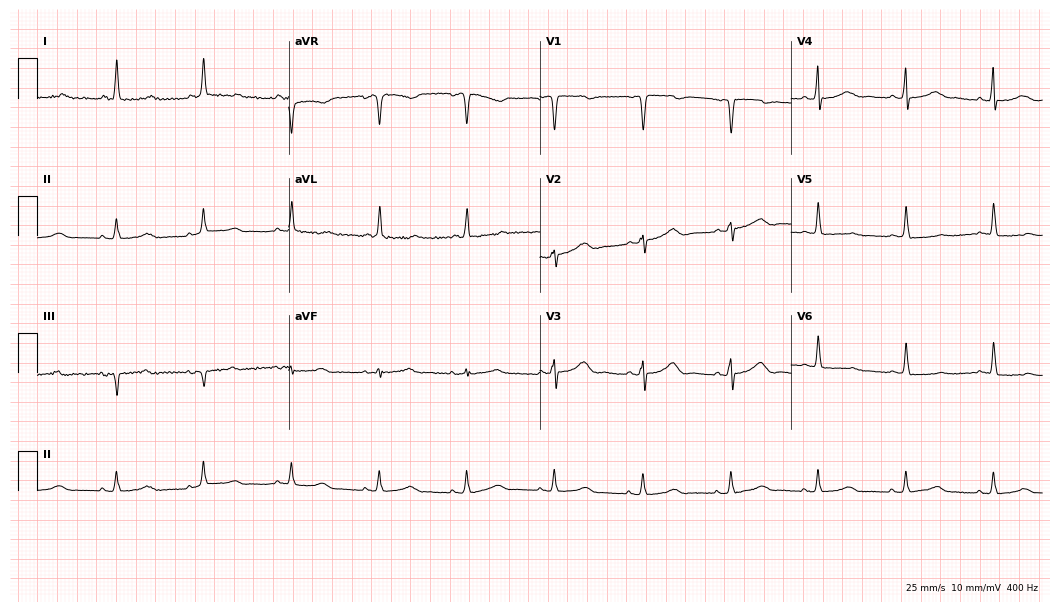
12-lead ECG from an 80-year-old woman. No first-degree AV block, right bundle branch block, left bundle branch block, sinus bradycardia, atrial fibrillation or sinus tachycardia recorded for this tracing.